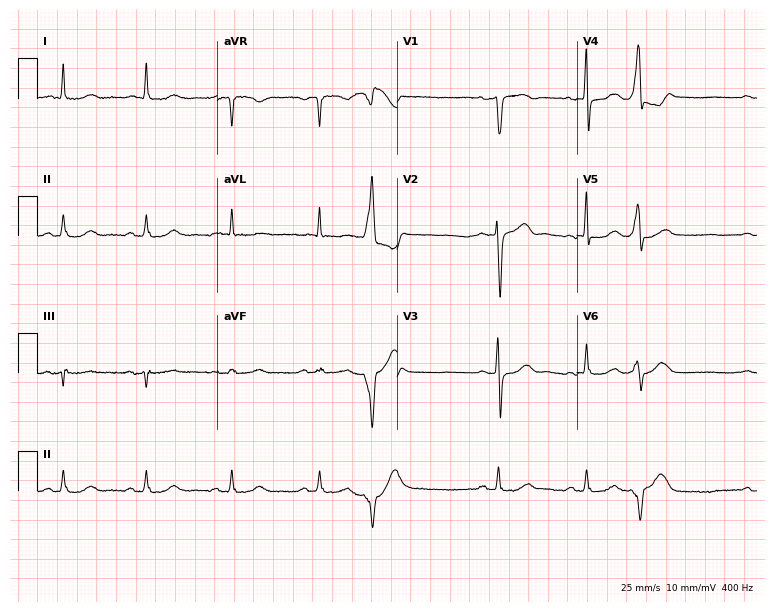
12-lead ECG (7.3-second recording at 400 Hz) from a man, 85 years old. Screened for six findings — first-degree AV block, right bundle branch block, left bundle branch block, sinus bradycardia, atrial fibrillation, sinus tachycardia — none is recorded.